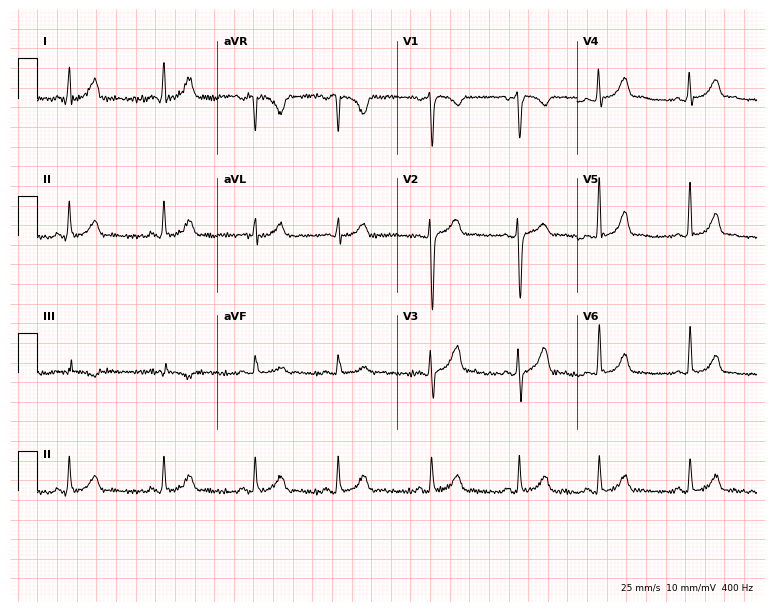
Electrocardiogram, a 26-year-old female patient. Overall reading on record: normal ECG.